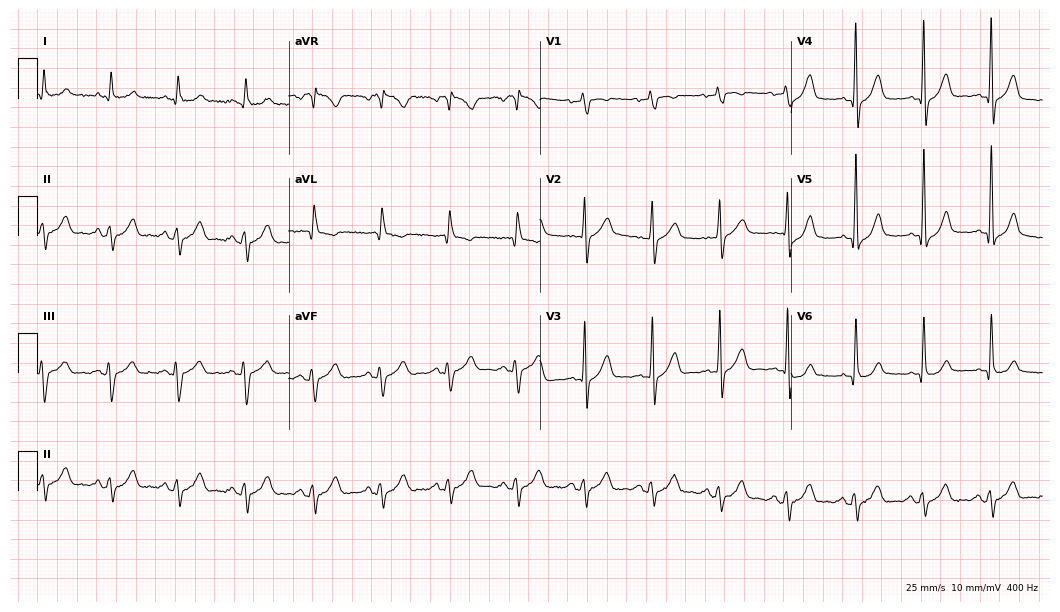
12-lead ECG from a 69-year-old male patient. No first-degree AV block, right bundle branch block, left bundle branch block, sinus bradycardia, atrial fibrillation or sinus tachycardia recorded for this tracing. Other findings, if any, are not listed.